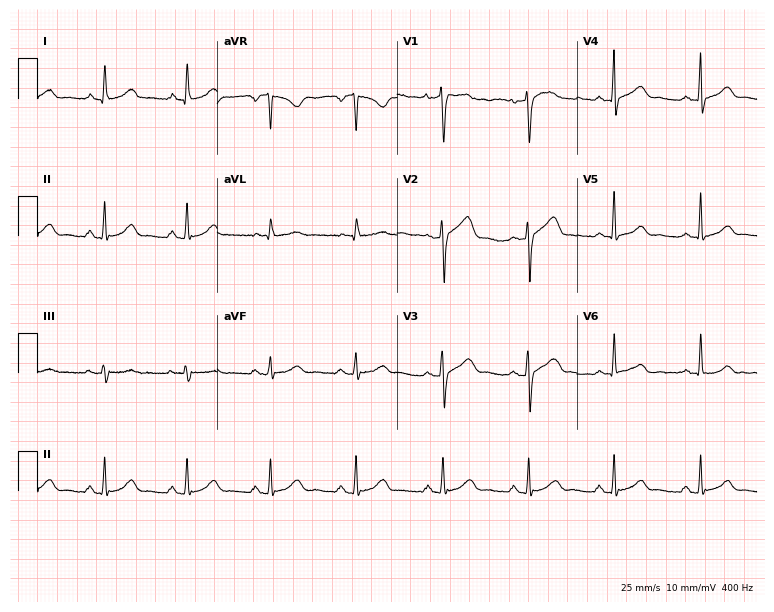
Resting 12-lead electrocardiogram. Patient: a 47-year-old female. Read as a normal ECG.